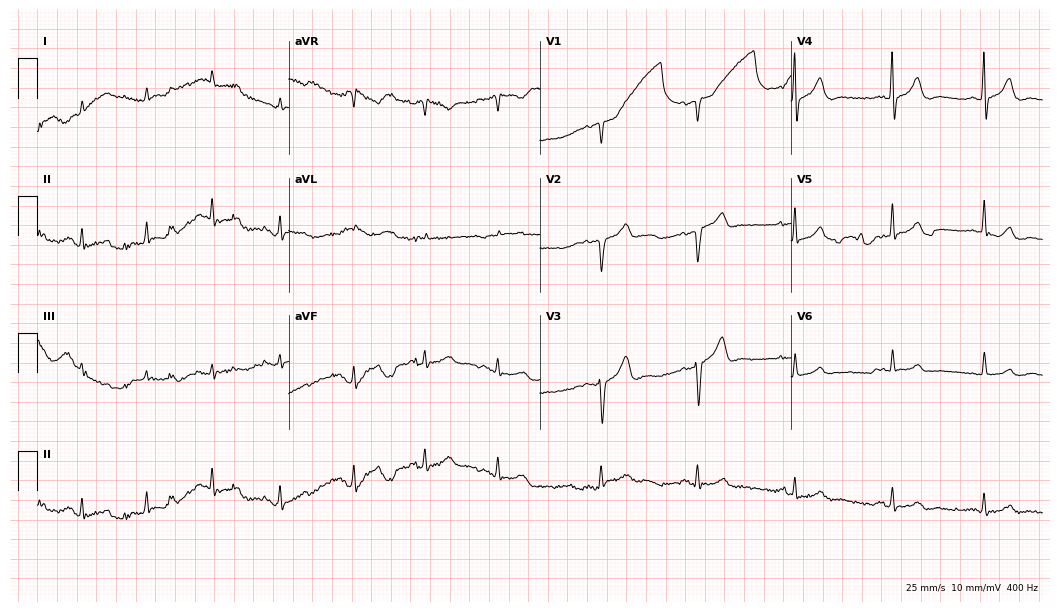
12-lead ECG (10.2-second recording at 400 Hz) from a male, 84 years old. Screened for six findings — first-degree AV block, right bundle branch block, left bundle branch block, sinus bradycardia, atrial fibrillation, sinus tachycardia — none is recorded. Only these six findings were labelled.